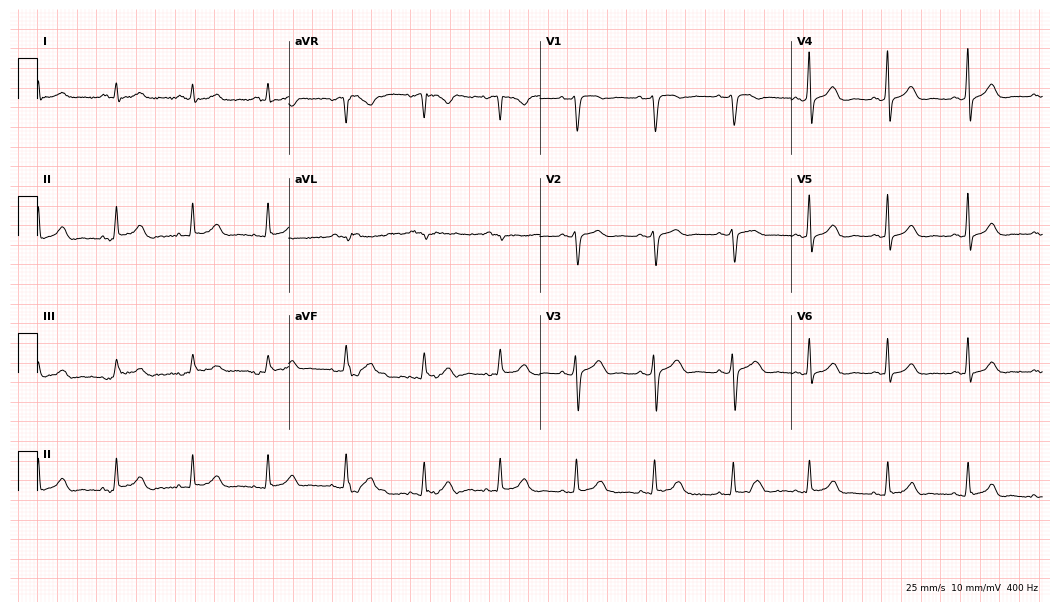
12-lead ECG from a male, 63 years old. Recorded interpretation: within normal limits.